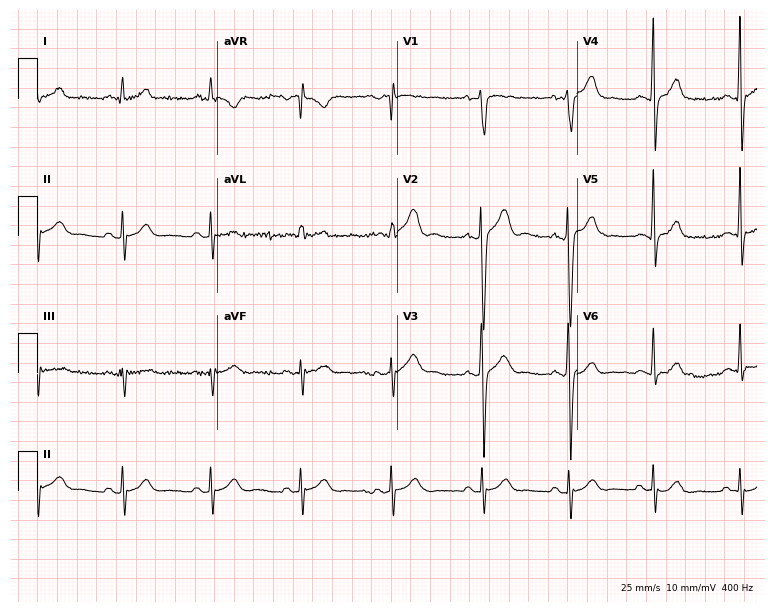
Electrocardiogram, a 21-year-old man. Overall reading on record: normal ECG.